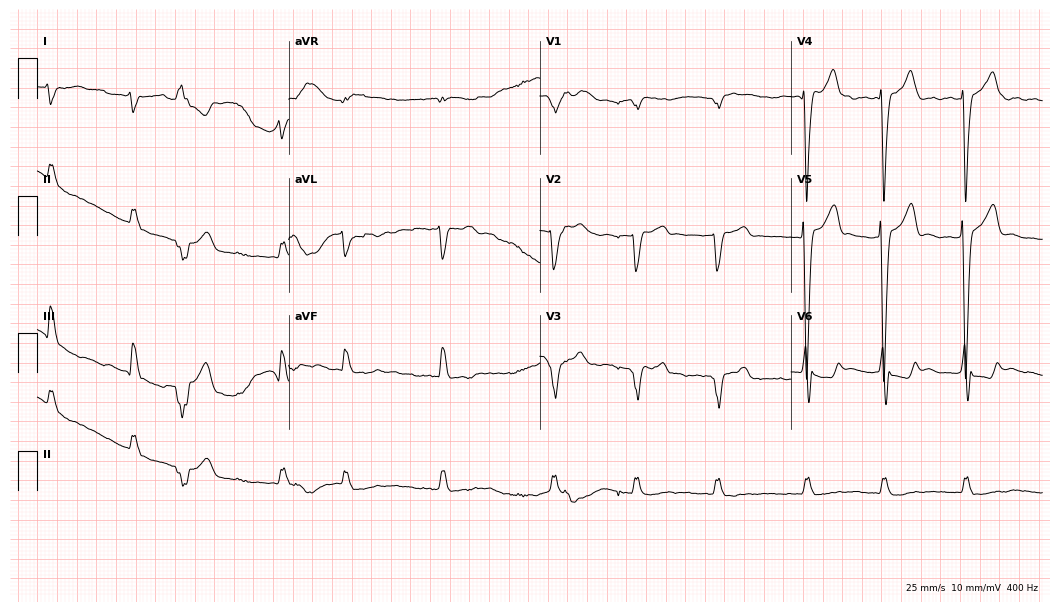
Resting 12-lead electrocardiogram. Patient: an 83-year-old female. The tracing shows left bundle branch block, atrial fibrillation.